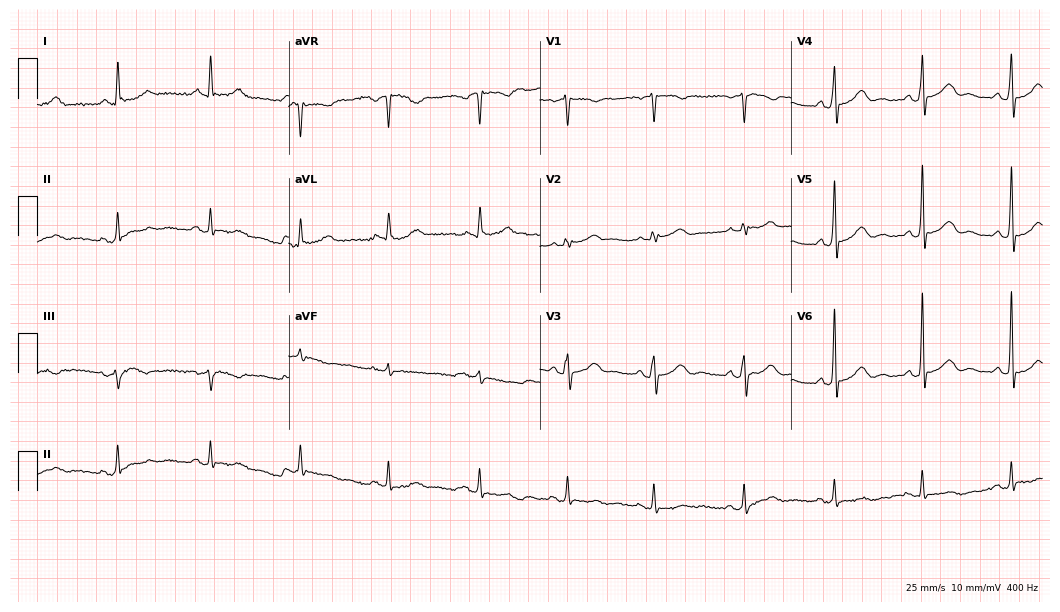
Electrocardiogram, a woman, 55 years old. Overall reading on record: normal ECG.